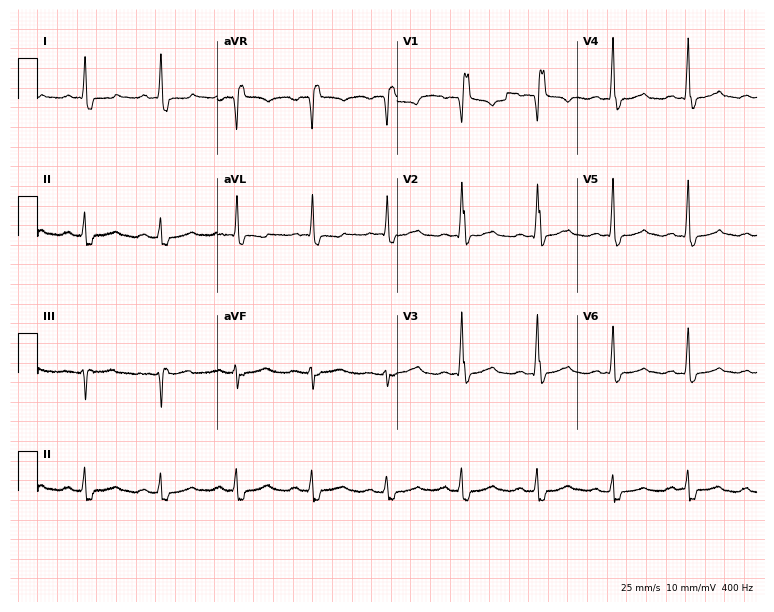
ECG — a 55-year-old female patient. Findings include right bundle branch block.